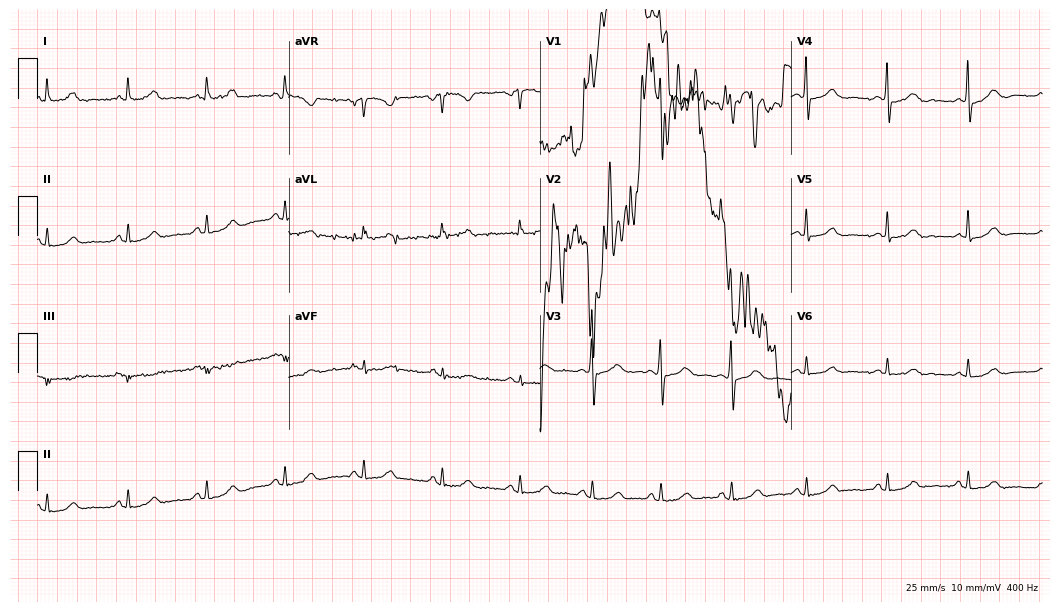
12-lead ECG from a 62-year-old female patient (10.2-second recording at 400 Hz). Recorded interpretation: within normal limits.